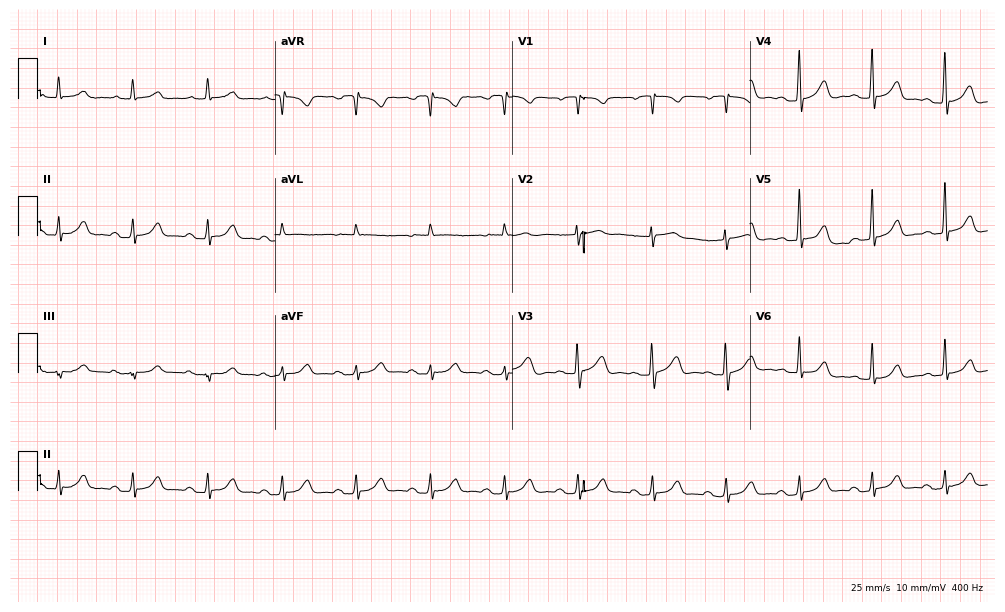
Standard 12-lead ECG recorded from a female patient, 81 years old (9.7-second recording at 400 Hz). Read as a normal ECG.